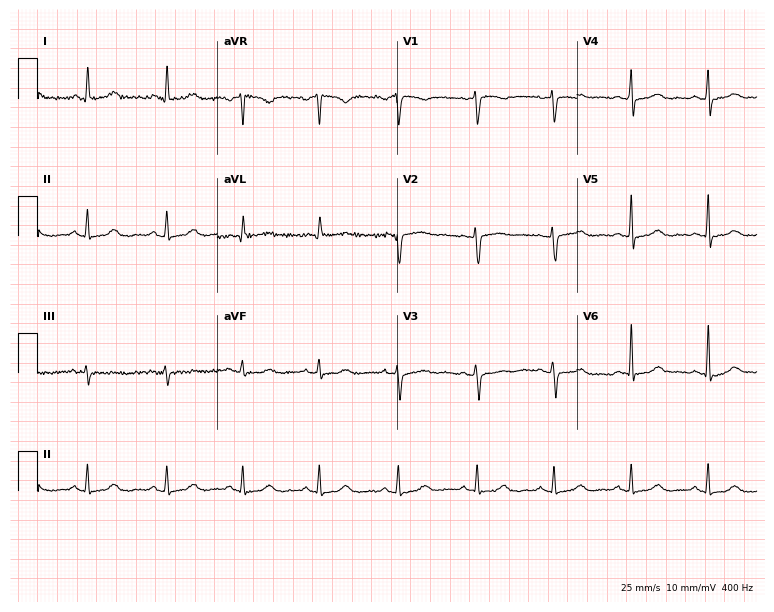
Resting 12-lead electrocardiogram. Patient: a woman, 58 years old. Read as a normal ECG.